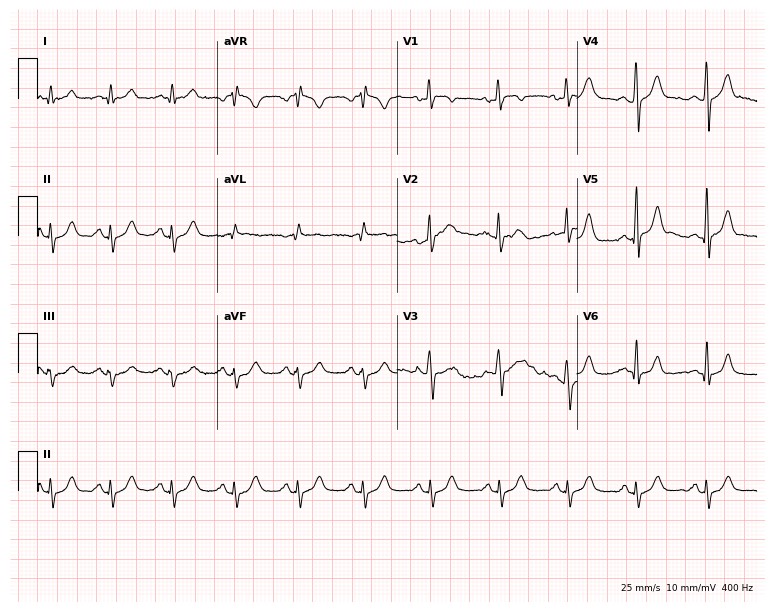
Electrocardiogram (7.3-second recording at 400 Hz), a 39-year-old male. Overall reading on record: normal ECG.